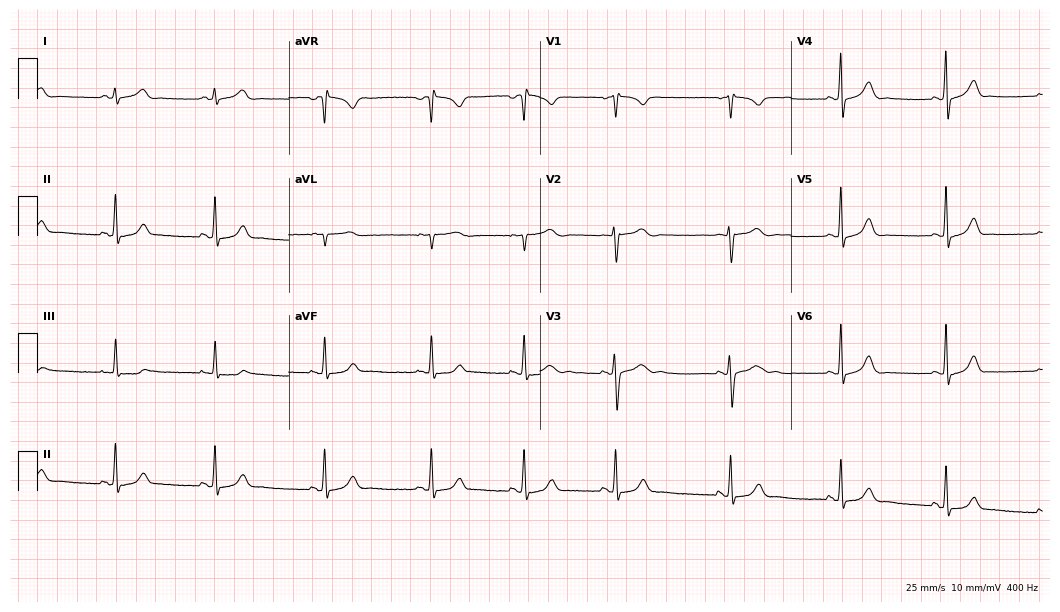
12-lead ECG from a female, 18 years old. Recorded interpretation: within normal limits.